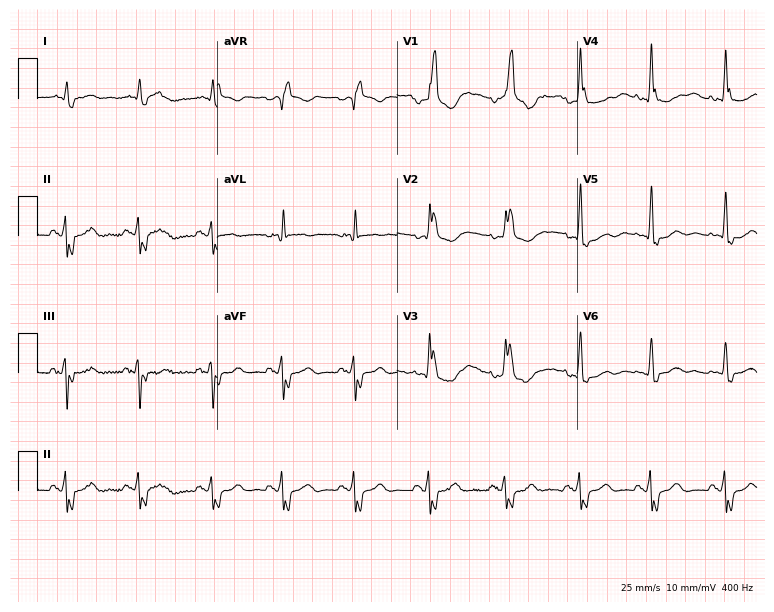
Electrocardiogram, a male patient, 74 years old. Interpretation includes right bundle branch block (RBBB).